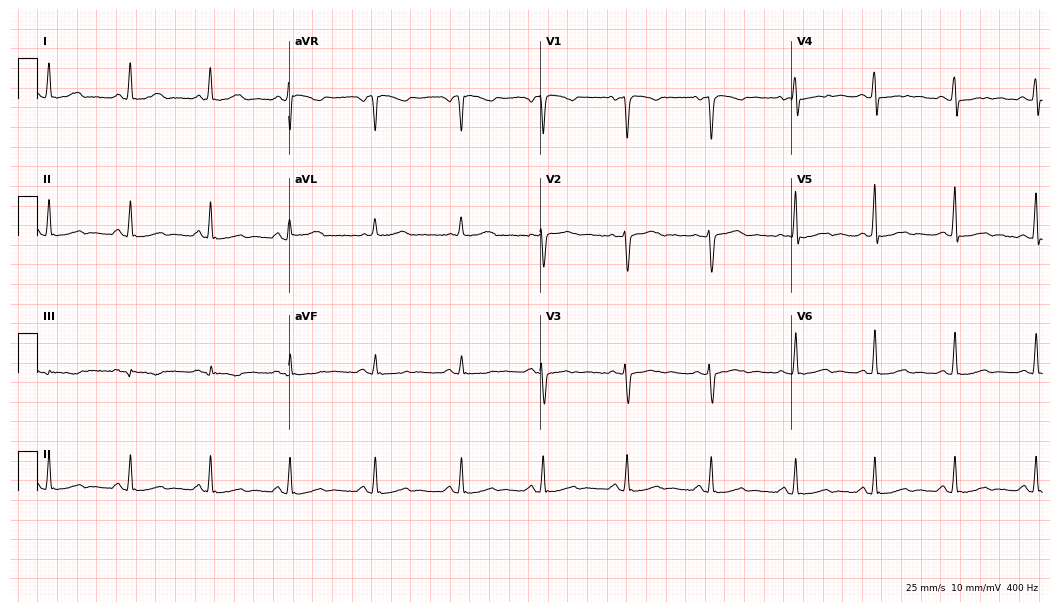
Electrocardiogram, a woman, 42 years old. Overall reading on record: normal ECG.